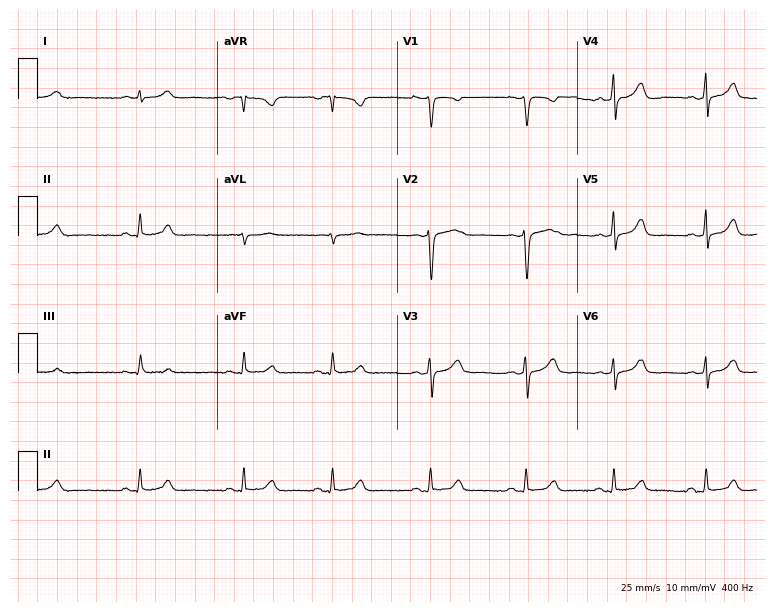
Resting 12-lead electrocardiogram (7.3-second recording at 400 Hz). Patient: a 34-year-old female. Read as a normal ECG.